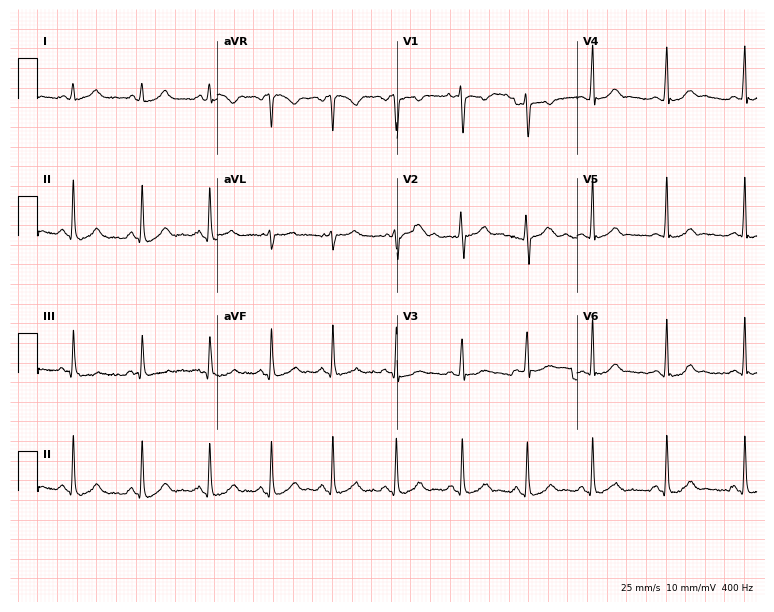
Resting 12-lead electrocardiogram (7.3-second recording at 400 Hz). Patient: an 18-year-old female. Read as a normal ECG.